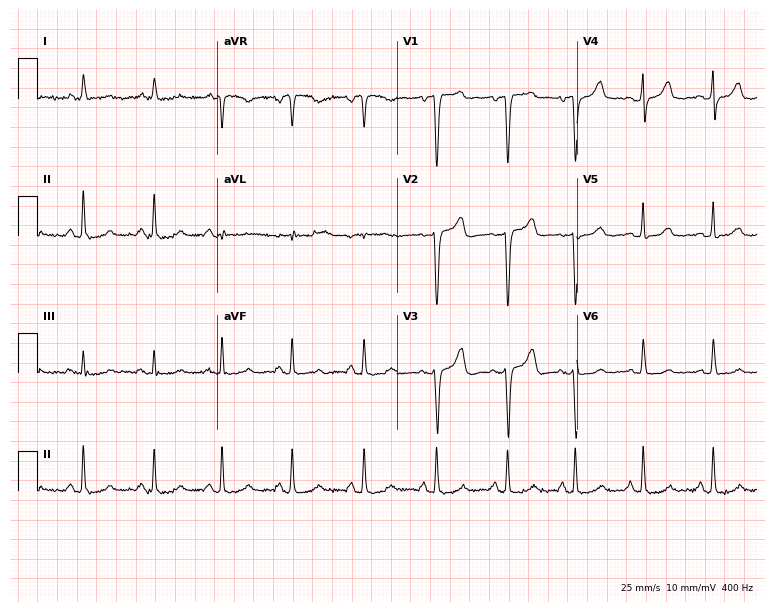
Electrocardiogram (7.3-second recording at 400 Hz), a woman, 63 years old. Overall reading on record: normal ECG.